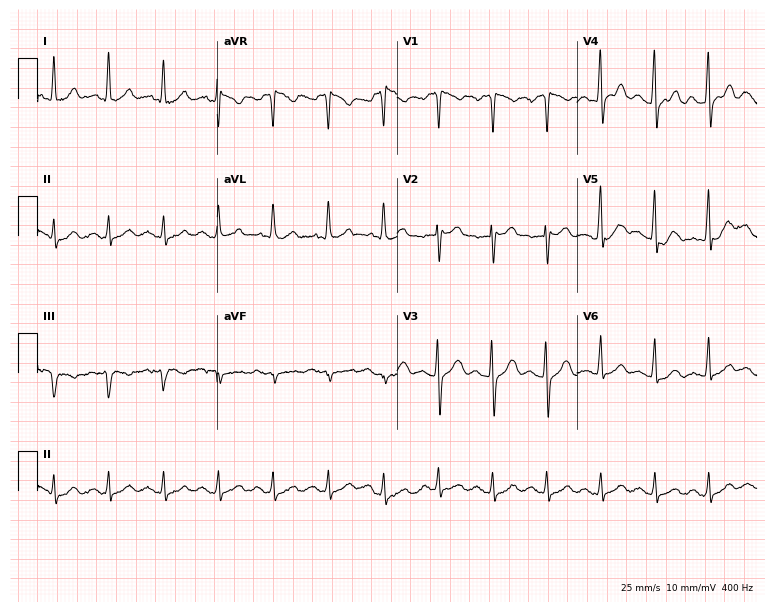
ECG (7.3-second recording at 400 Hz) — a 45-year-old man. Screened for six findings — first-degree AV block, right bundle branch block (RBBB), left bundle branch block (LBBB), sinus bradycardia, atrial fibrillation (AF), sinus tachycardia — none is recorded. Only these six findings were labelled.